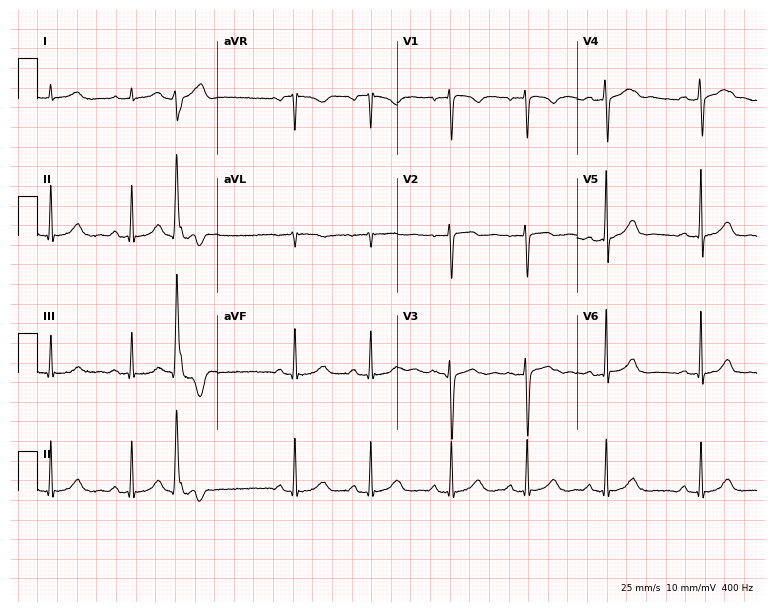
Electrocardiogram (7.3-second recording at 400 Hz), a female patient, 34 years old. Of the six screened findings (first-degree AV block, right bundle branch block (RBBB), left bundle branch block (LBBB), sinus bradycardia, atrial fibrillation (AF), sinus tachycardia), none is recorded. Other findings, if any, are not listed.